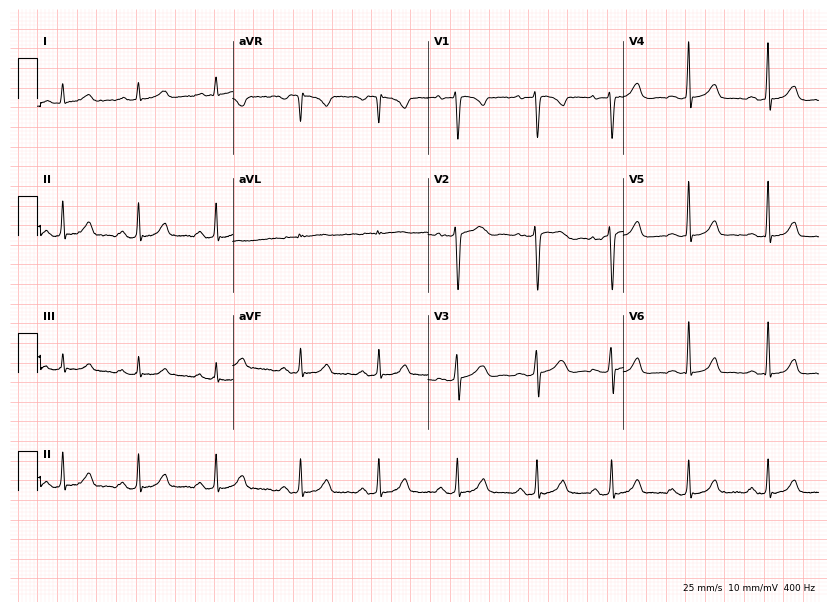
Resting 12-lead electrocardiogram. Patient: a 29-year-old female. Read as a normal ECG.